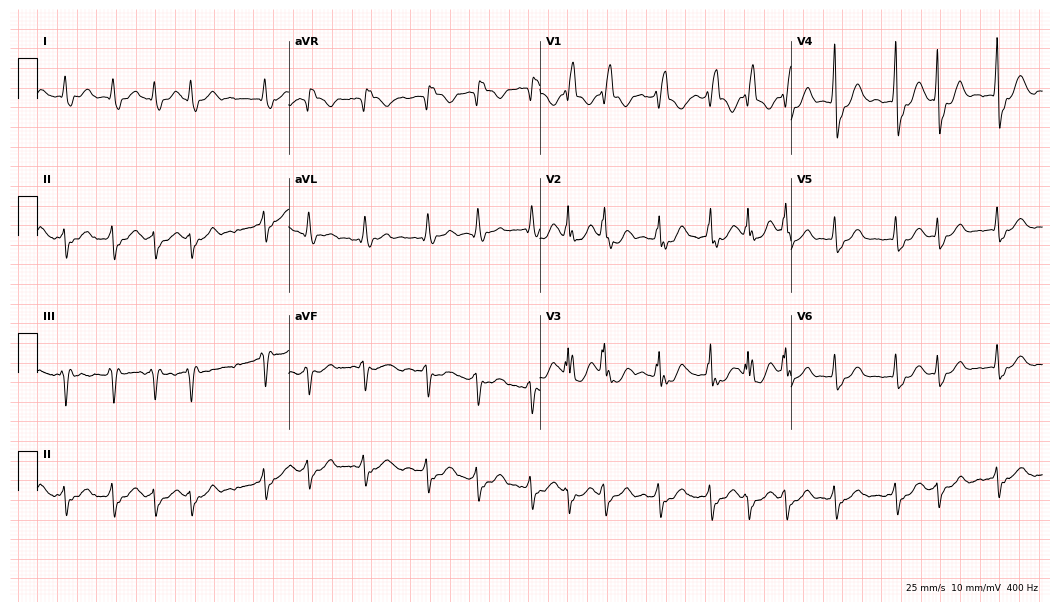
12-lead ECG from an 83-year-old female. Findings include right bundle branch block, atrial fibrillation.